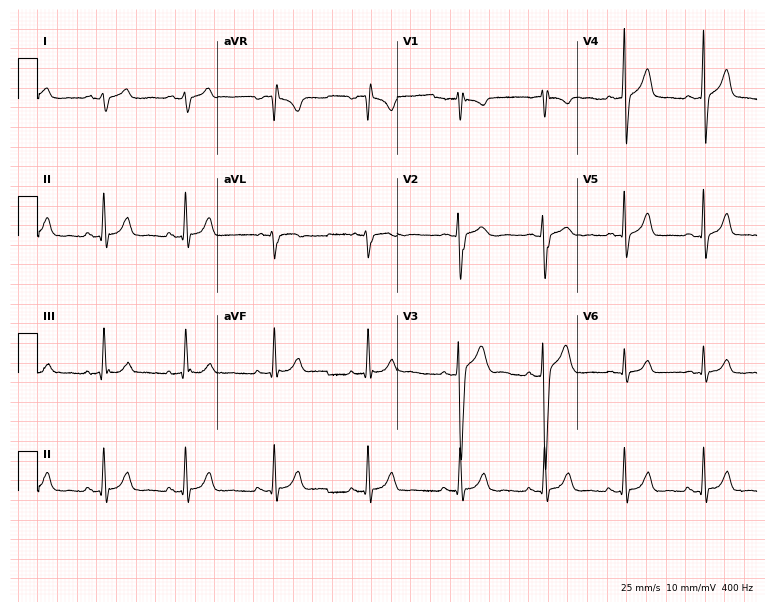
12-lead ECG (7.3-second recording at 400 Hz) from a 22-year-old man. Screened for six findings — first-degree AV block, right bundle branch block (RBBB), left bundle branch block (LBBB), sinus bradycardia, atrial fibrillation (AF), sinus tachycardia — none is recorded. Other findings, if any, are not listed.